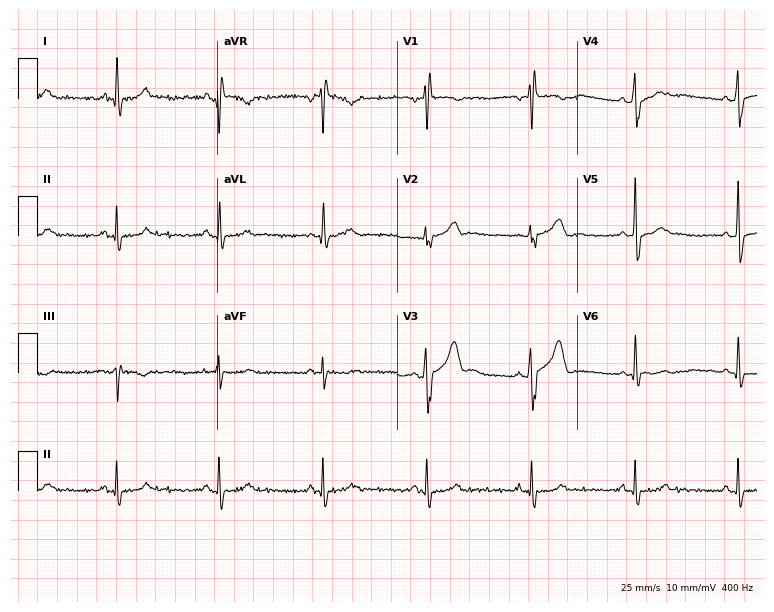
Electrocardiogram (7.3-second recording at 400 Hz), a male, 58 years old. Of the six screened findings (first-degree AV block, right bundle branch block, left bundle branch block, sinus bradycardia, atrial fibrillation, sinus tachycardia), none is recorded.